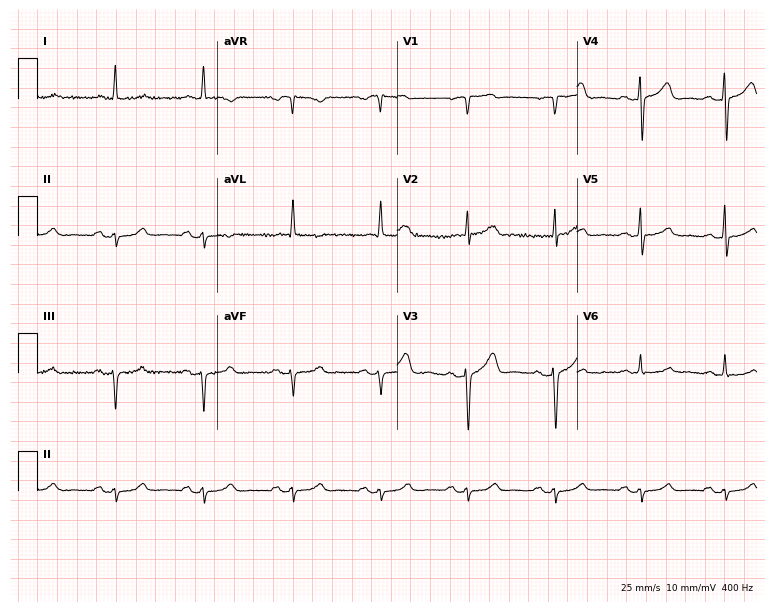
12-lead ECG from a male patient, 68 years old. Screened for six findings — first-degree AV block, right bundle branch block, left bundle branch block, sinus bradycardia, atrial fibrillation, sinus tachycardia — none is recorded. Findings outside these six are not listed.